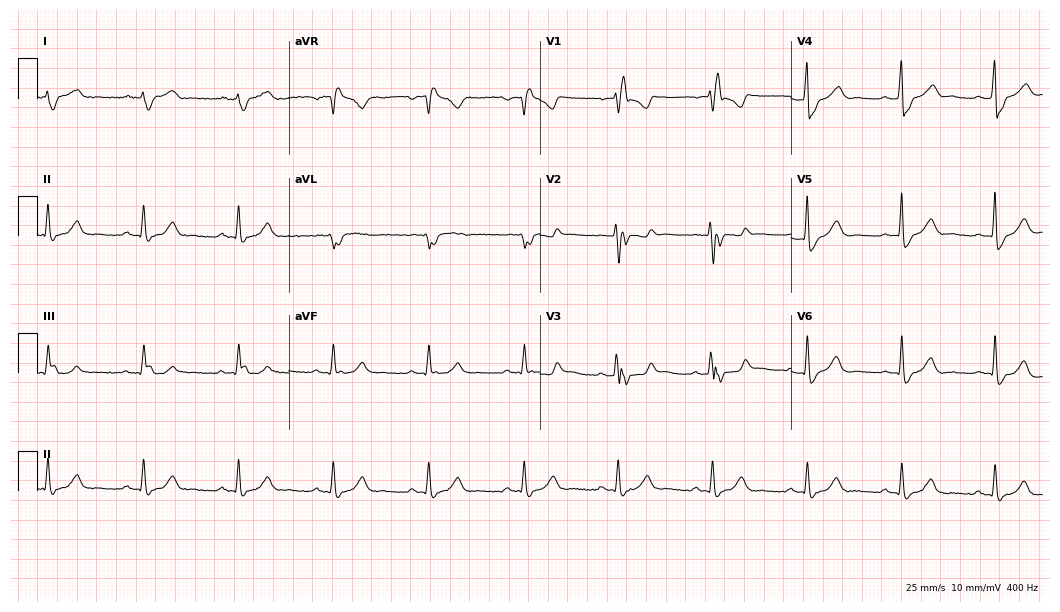
12-lead ECG from a 62-year-old man. Shows right bundle branch block.